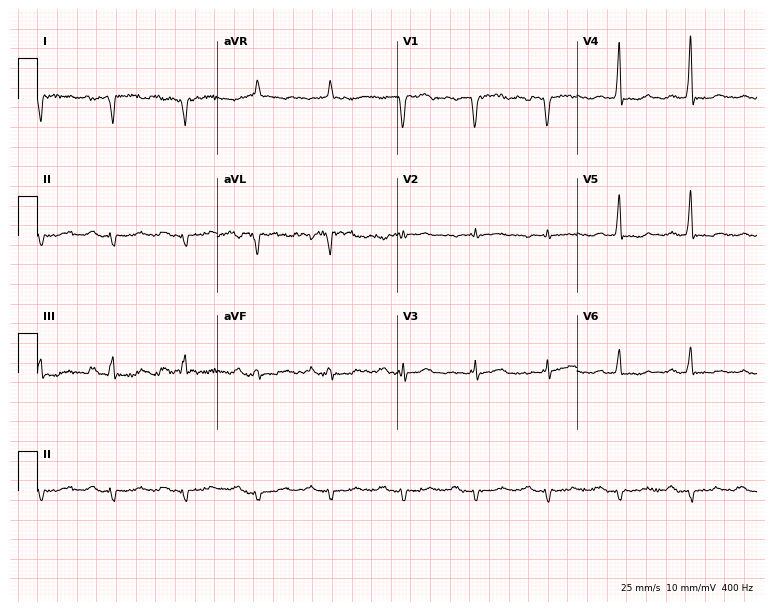
Resting 12-lead electrocardiogram. Patient: a 79-year-old female. None of these six findings is recorded: first-degree AV block, right bundle branch block (RBBB), left bundle branch block (LBBB), sinus bradycardia, atrial fibrillation (AF), sinus tachycardia. Other findings, if any, are not listed.